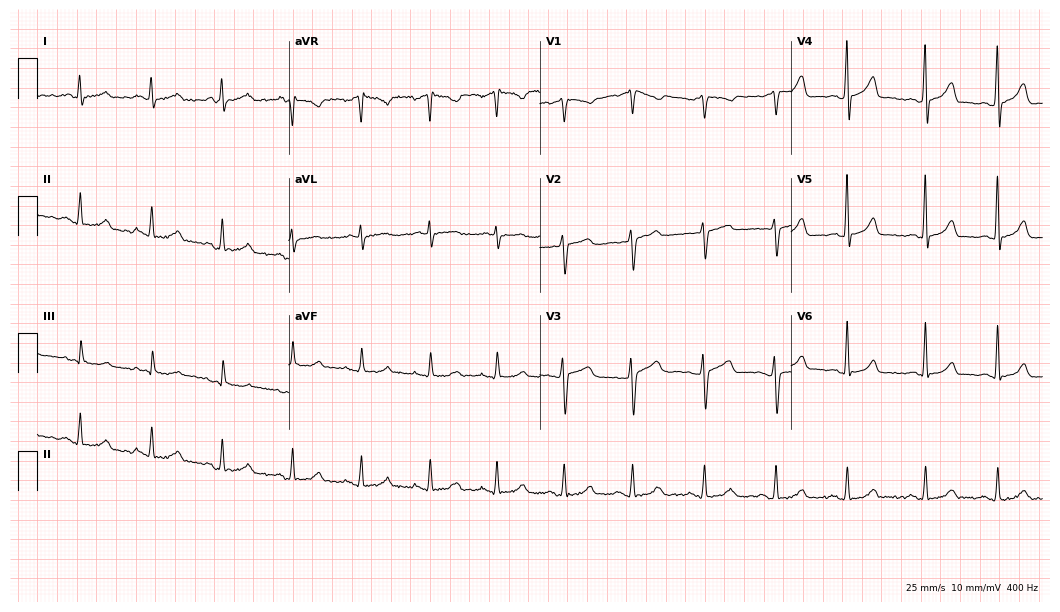
12-lead ECG from a 36-year-old woman. Recorded interpretation: within normal limits.